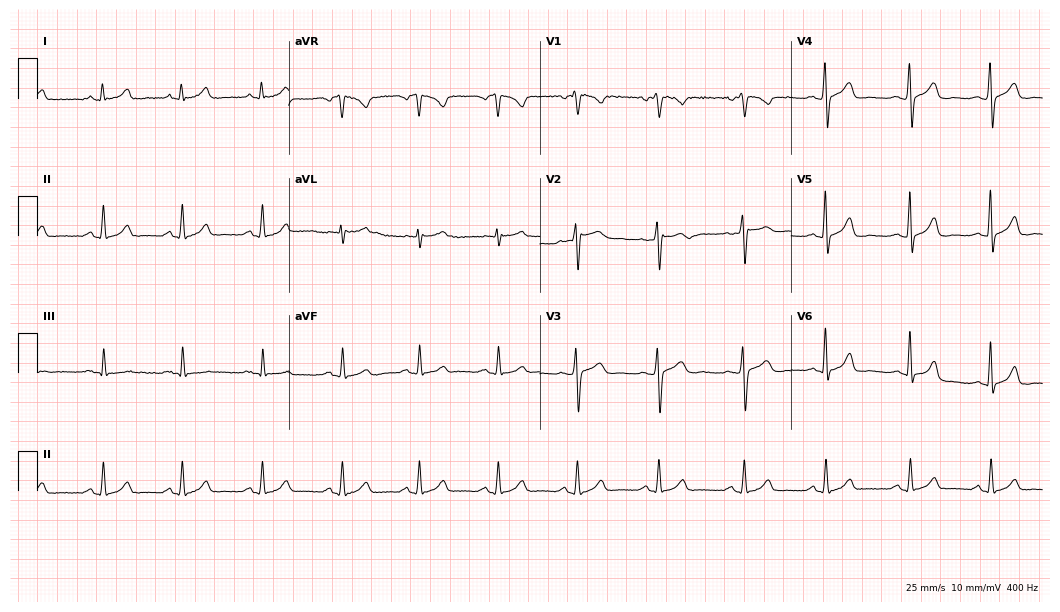
Standard 12-lead ECG recorded from a woman, 34 years old (10.2-second recording at 400 Hz). Read as a normal ECG.